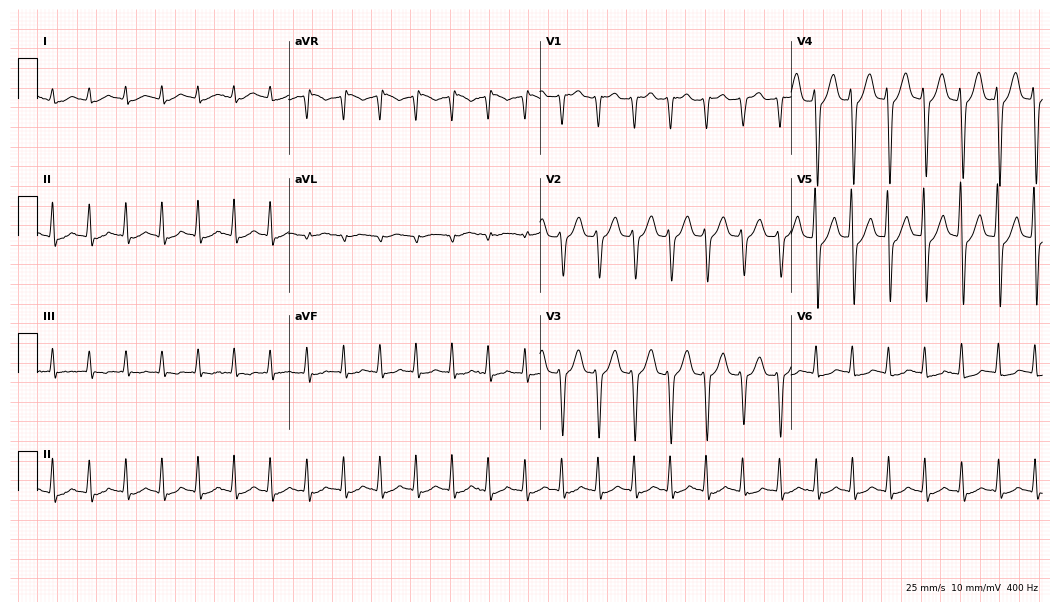
Standard 12-lead ECG recorded from a male, 62 years old (10.2-second recording at 400 Hz). The tracing shows sinus tachycardia (a sinus rate of 100 beats per minute or more).